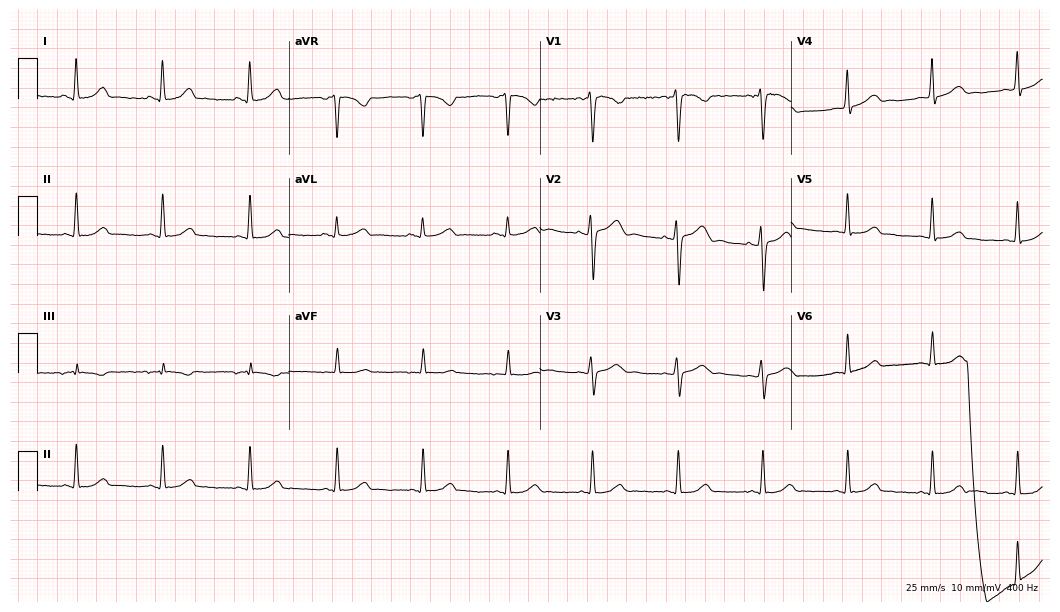
12-lead ECG from a female patient, 23 years old. Recorded interpretation: within normal limits.